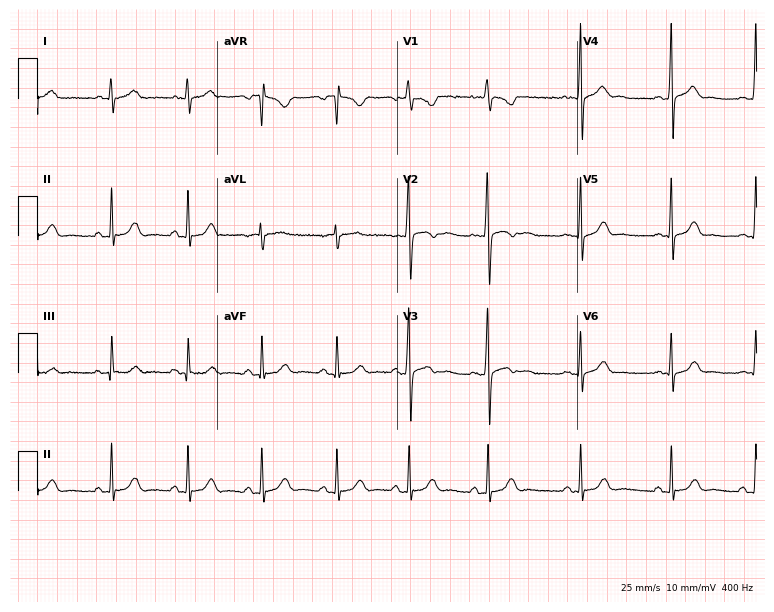
12-lead ECG (7.3-second recording at 400 Hz) from a female patient, 18 years old. Screened for six findings — first-degree AV block, right bundle branch block (RBBB), left bundle branch block (LBBB), sinus bradycardia, atrial fibrillation (AF), sinus tachycardia — none is recorded.